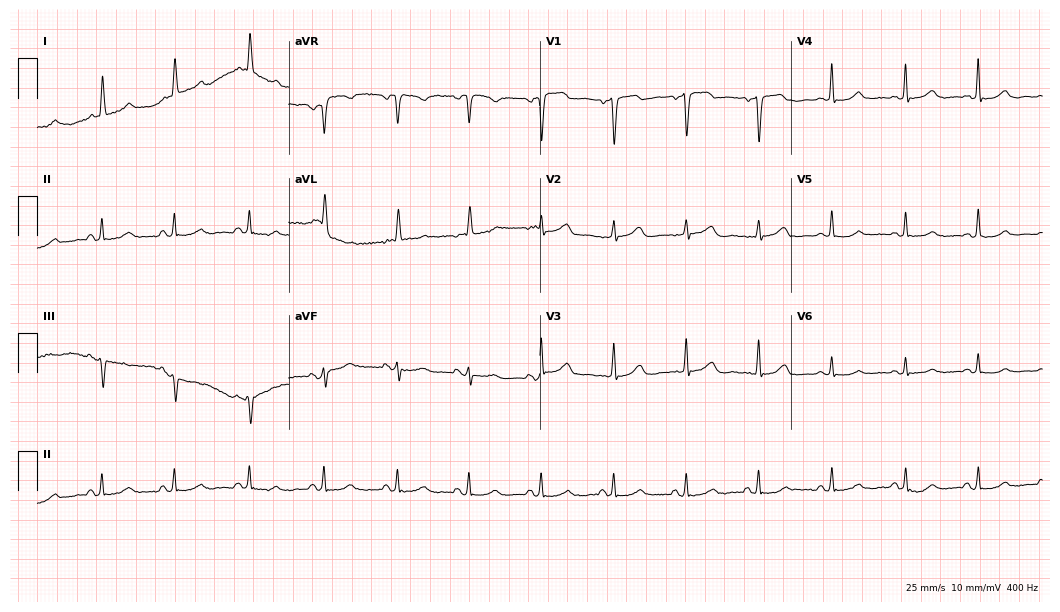
12-lead ECG from a female, 61 years old (10.2-second recording at 400 Hz). Recorded interpretation: within normal limits.